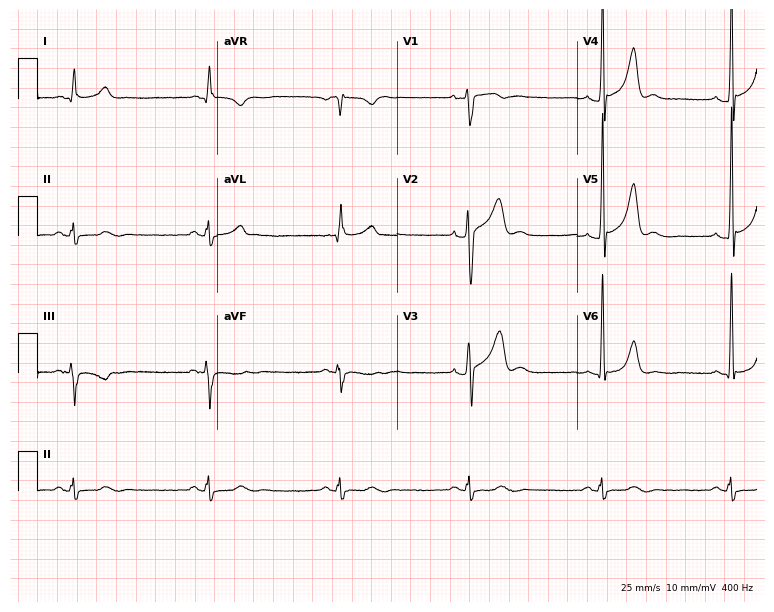
Standard 12-lead ECG recorded from a woman, 40 years old (7.3-second recording at 400 Hz). None of these six findings is recorded: first-degree AV block, right bundle branch block, left bundle branch block, sinus bradycardia, atrial fibrillation, sinus tachycardia. Only these six findings were labelled.